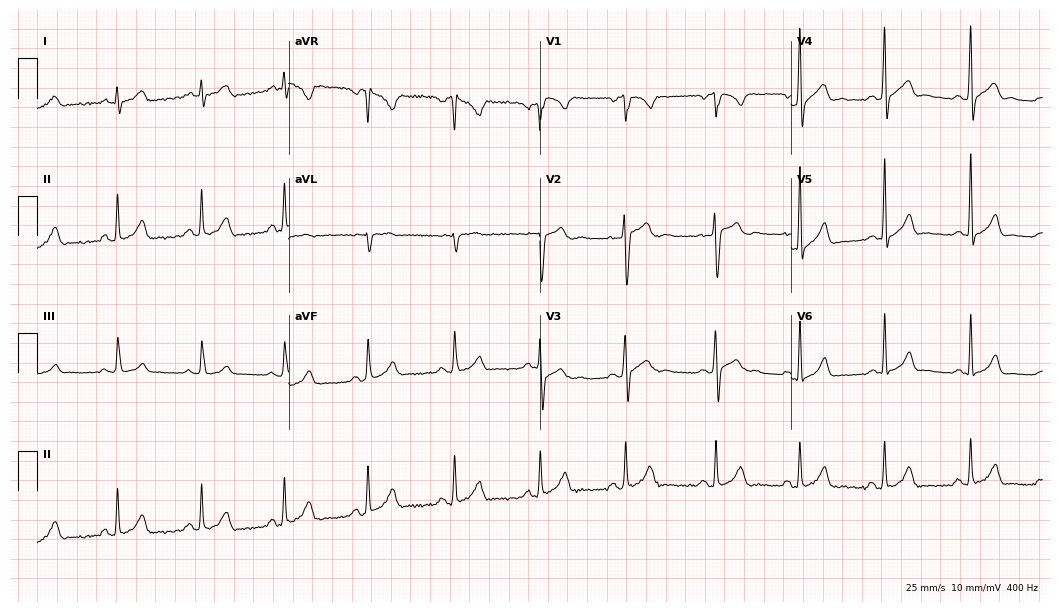
Resting 12-lead electrocardiogram (10.2-second recording at 400 Hz). Patient: a man, 18 years old. Read as a normal ECG.